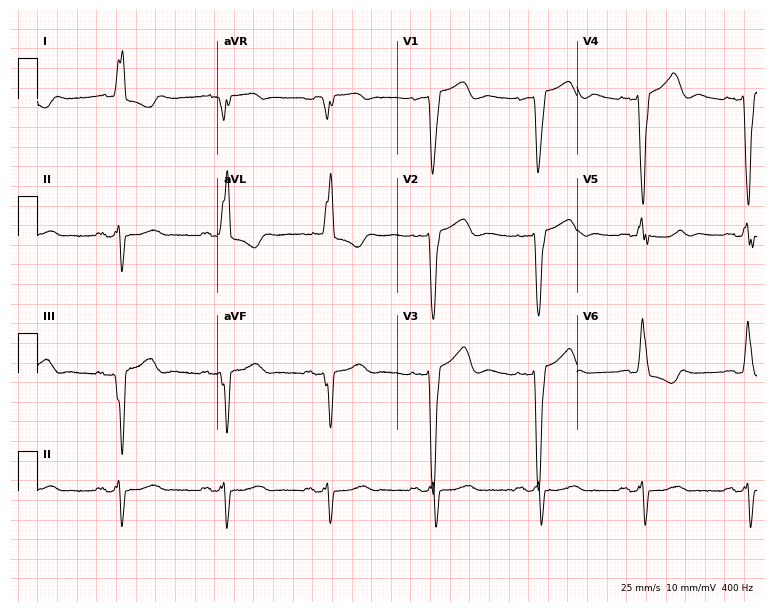
12-lead ECG from an 84-year-old female patient. No first-degree AV block, right bundle branch block (RBBB), left bundle branch block (LBBB), sinus bradycardia, atrial fibrillation (AF) or sinus tachycardia recorded for this tracing. Only these six findings were labelled.